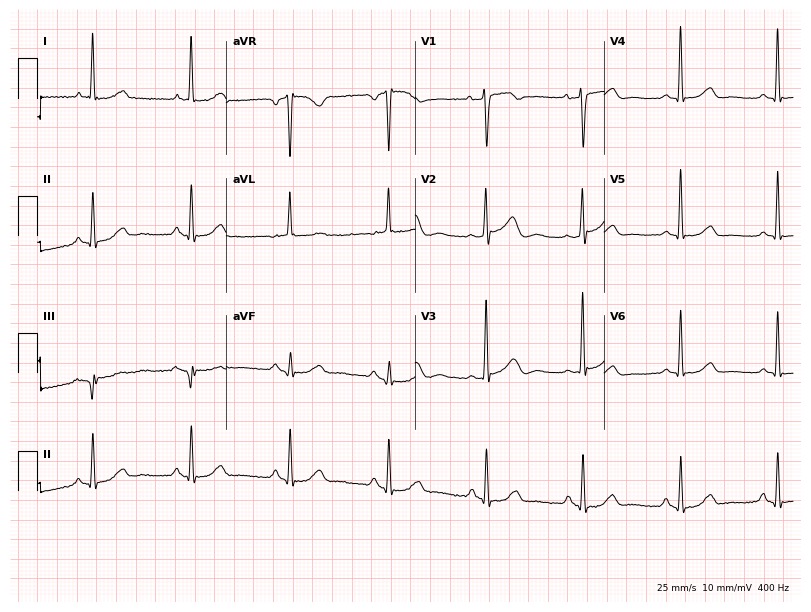
12-lead ECG from a female, 62 years old. Screened for six findings — first-degree AV block, right bundle branch block, left bundle branch block, sinus bradycardia, atrial fibrillation, sinus tachycardia — none is recorded.